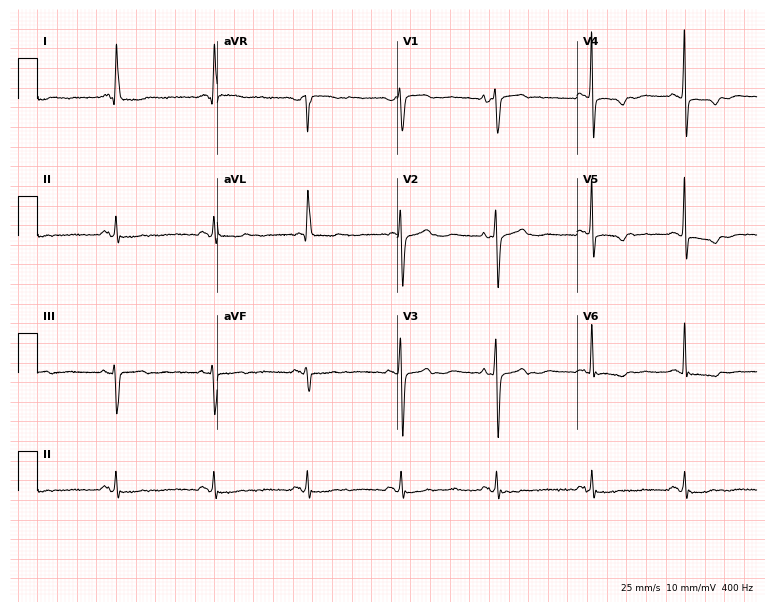
Electrocardiogram, a female, 82 years old. Of the six screened findings (first-degree AV block, right bundle branch block, left bundle branch block, sinus bradycardia, atrial fibrillation, sinus tachycardia), none is recorded.